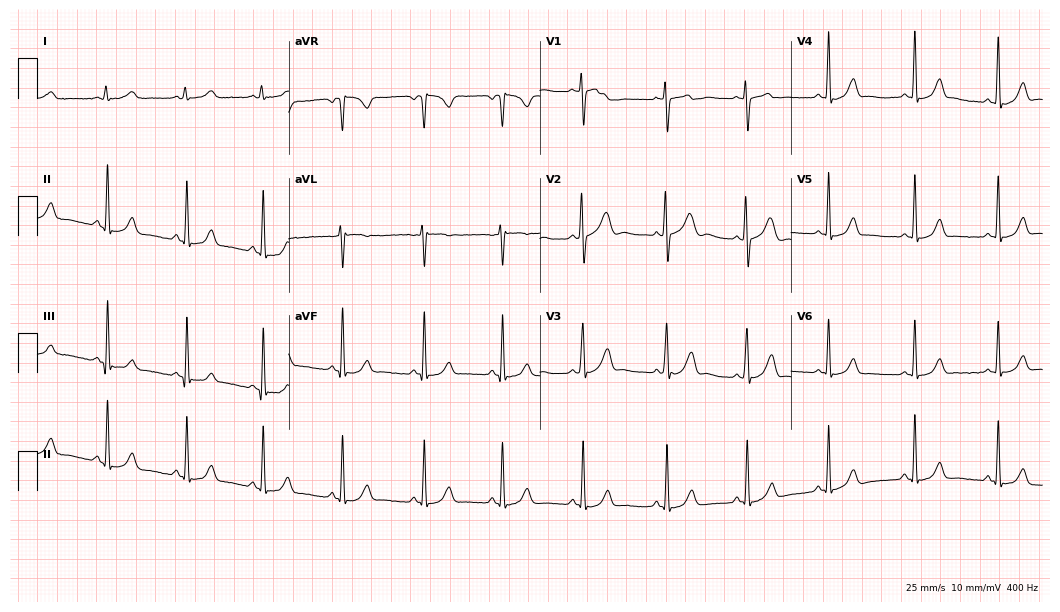
12-lead ECG from a woman, 21 years old (10.2-second recording at 400 Hz). Recorded interpretation: within normal limits.